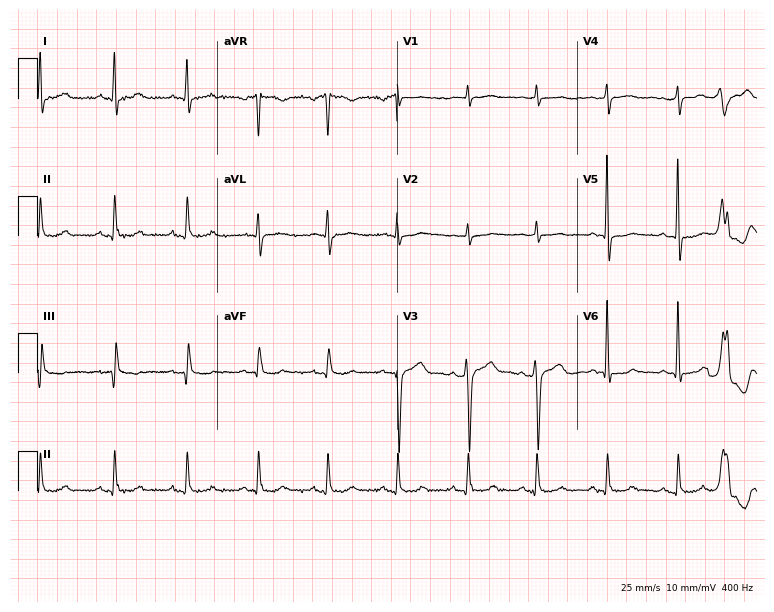
Resting 12-lead electrocardiogram (7.3-second recording at 400 Hz). Patient: a 30-year-old male. None of these six findings is recorded: first-degree AV block, right bundle branch block, left bundle branch block, sinus bradycardia, atrial fibrillation, sinus tachycardia.